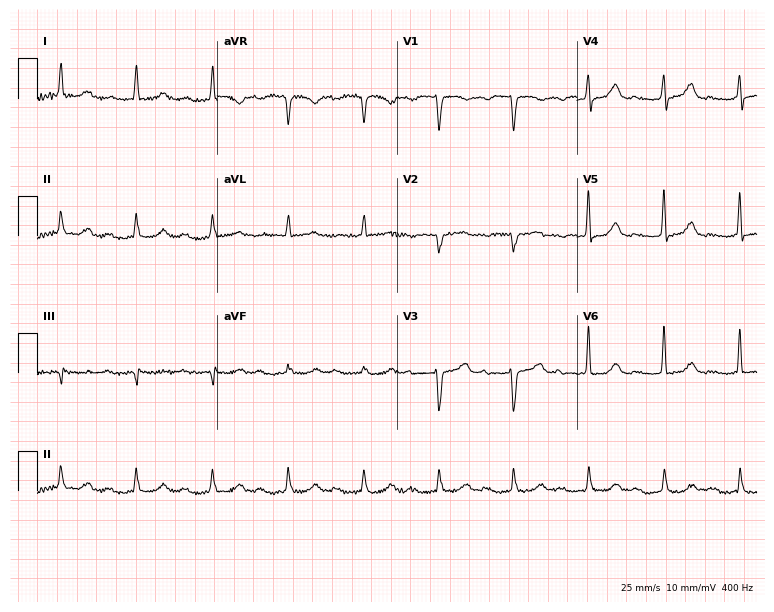
Electrocardiogram, a 75-year-old woman. Interpretation includes first-degree AV block.